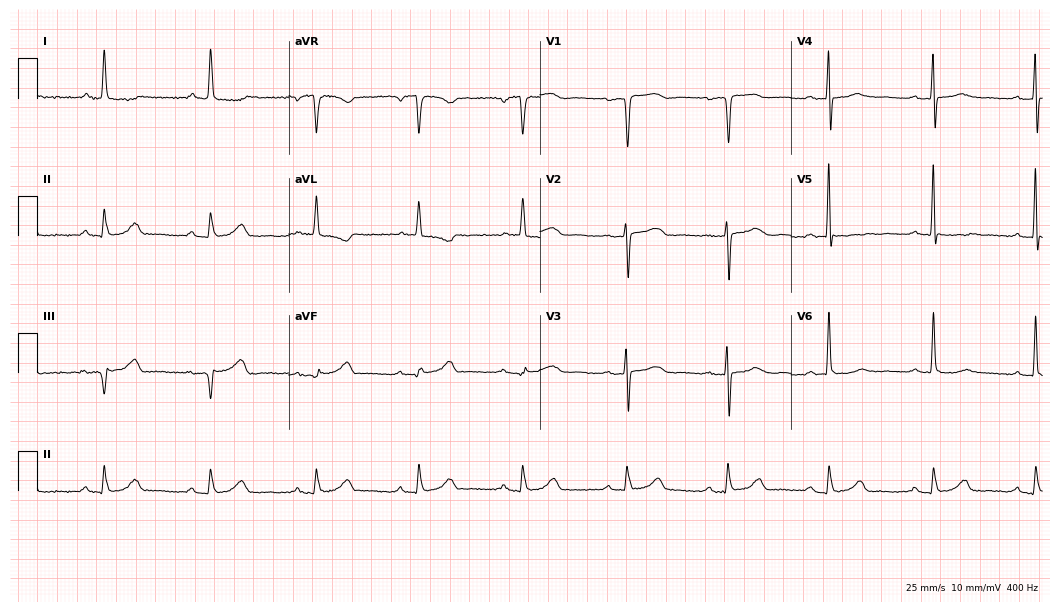
ECG — an 85-year-old woman. Findings include first-degree AV block.